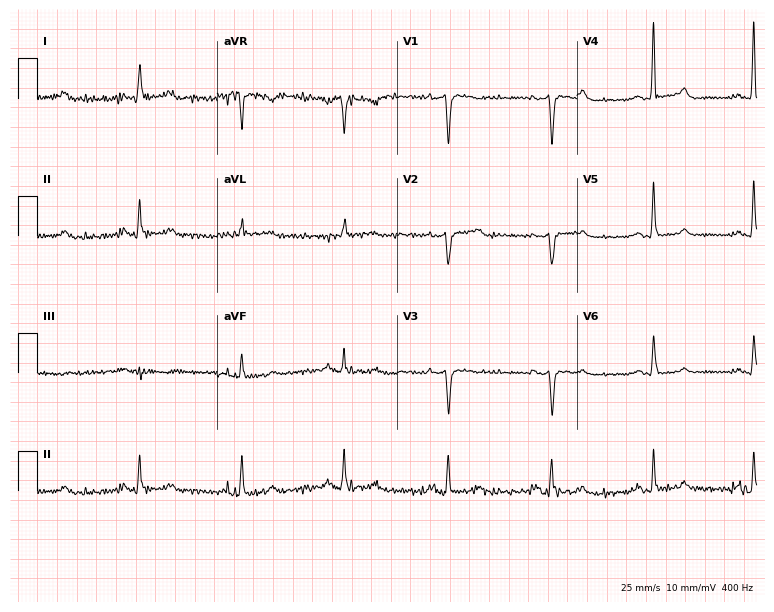
12-lead ECG from a 67-year-old woman. Screened for six findings — first-degree AV block, right bundle branch block (RBBB), left bundle branch block (LBBB), sinus bradycardia, atrial fibrillation (AF), sinus tachycardia — none is recorded.